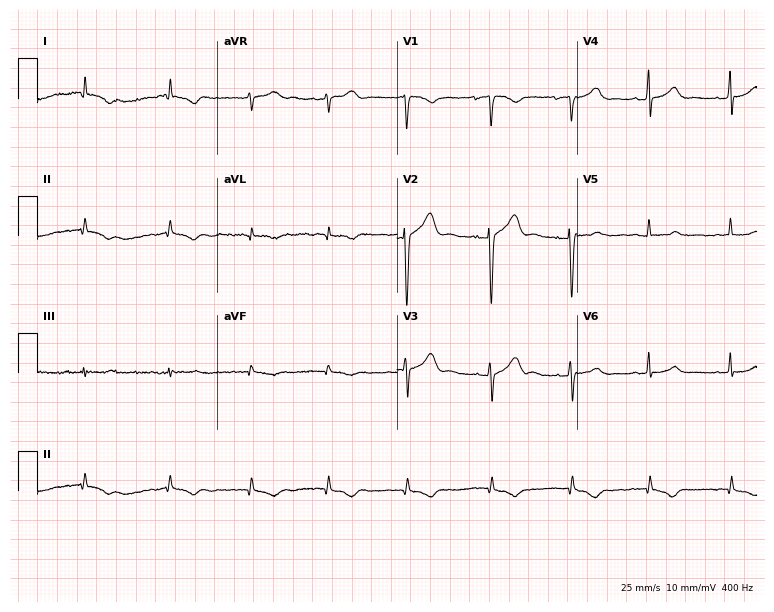
ECG (7.3-second recording at 400 Hz) — a 43-year-old female. Labelled as a normal ECG.